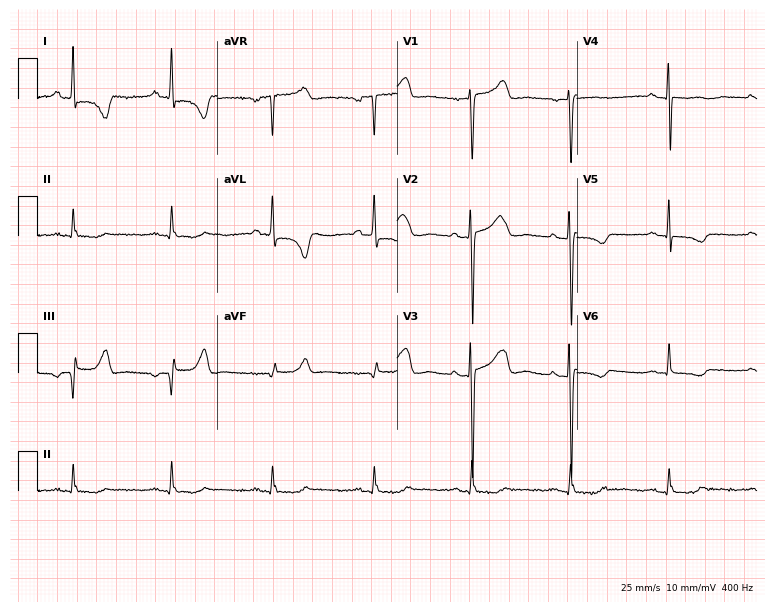
ECG — a female patient, 62 years old. Screened for six findings — first-degree AV block, right bundle branch block, left bundle branch block, sinus bradycardia, atrial fibrillation, sinus tachycardia — none is recorded.